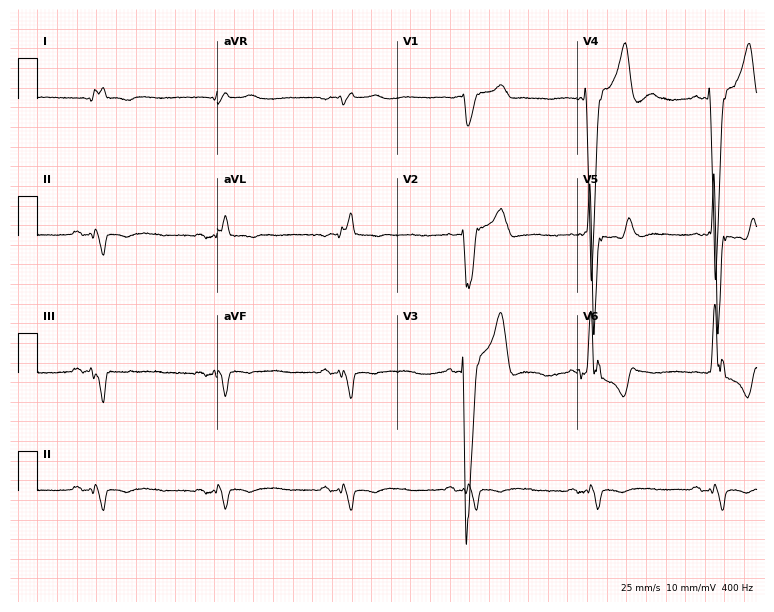
ECG — a male, 77 years old. Findings include left bundle branch block, sinus bradycardia (a sinus rate of 50 beats per minute or less).